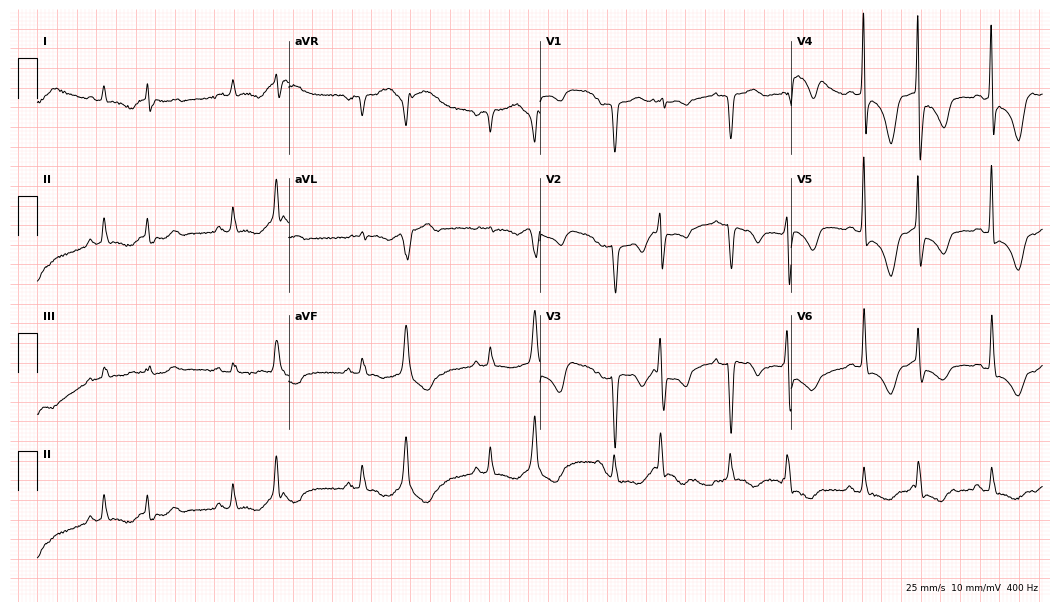
Resting 12-lead electrocardiogram (10.2-second recording at 400 Hz). Patient: a 74-year-old woman. None of these six findings is recorded: first-degree AV block, right bundle branch block, left bundle branch block, sinus bradycardia, atrial fibrillation, sinus tachycardia. Findings outside these six are not listed.